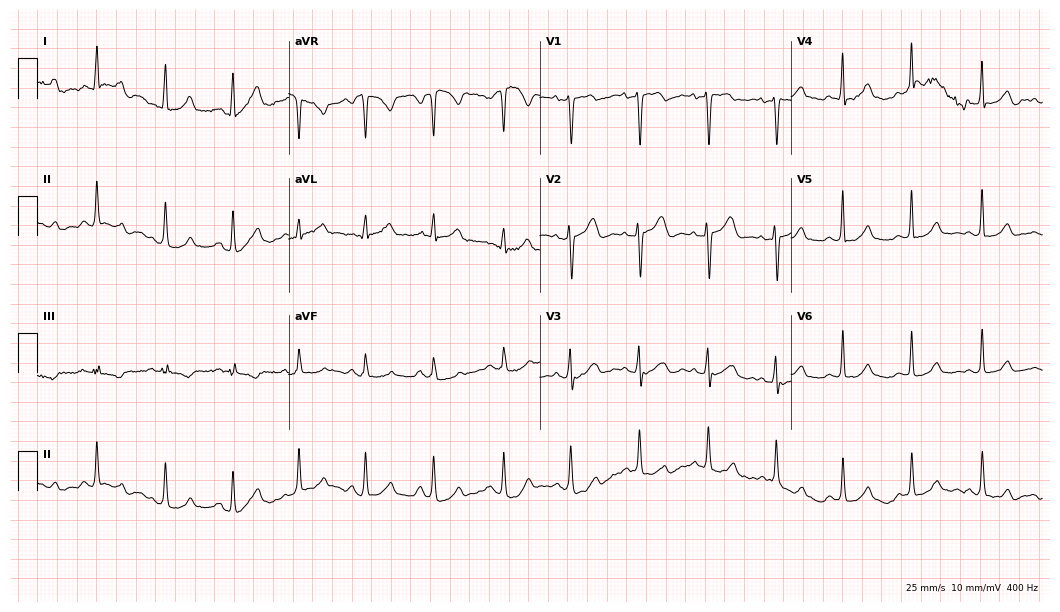
Standard 12-lead ECG recorded from a female patient, 41 years old. Read as a normal ECG.